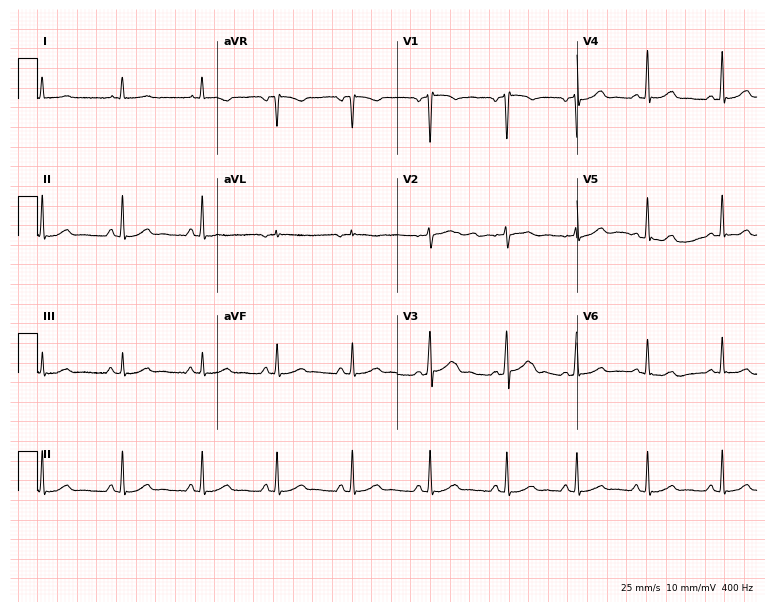
Electrocardiogram, a 24-year-old woman. Overall reading on record: normal ECG.